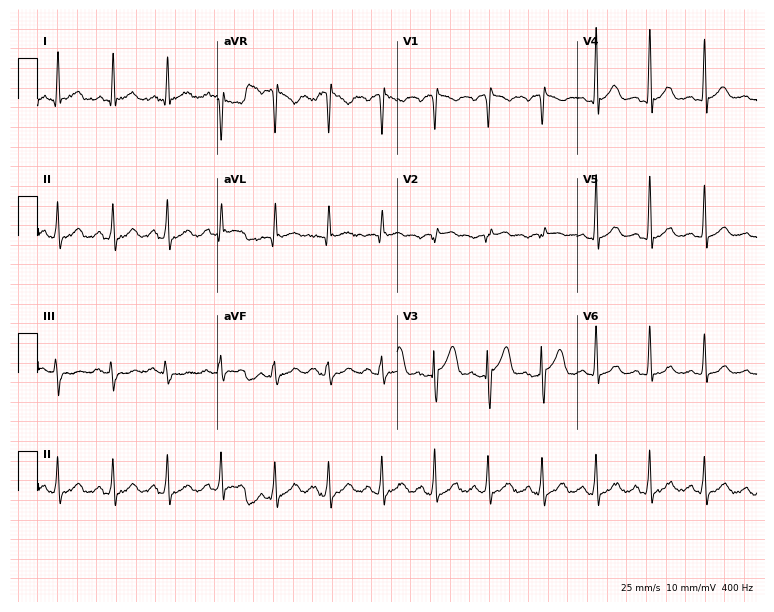
12-lead ECG from a male patient, 55 years old. Screened for six findings — first-degree AV block, right bundle branch block, left bundle branch block, sinus bradycardia, atrial fibrillation, sinus tachycardia — none is recorded.